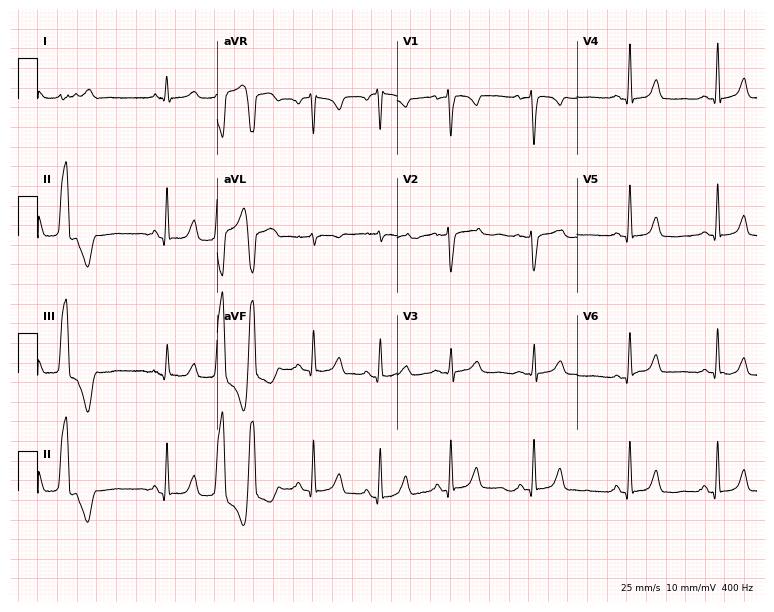
Resting 12-lead electrocardiogram (7.3-second recording at 400 Hz). Patient: a 42-year-old female. None of these six findings is recorded: first-degree AV block, right bundle branch block (RBBB), left bundle branch block (LBBB), sinus bradycardia, atrial fibrillation (AF), sinus tachycardia. Other findings, if any, are not listed.